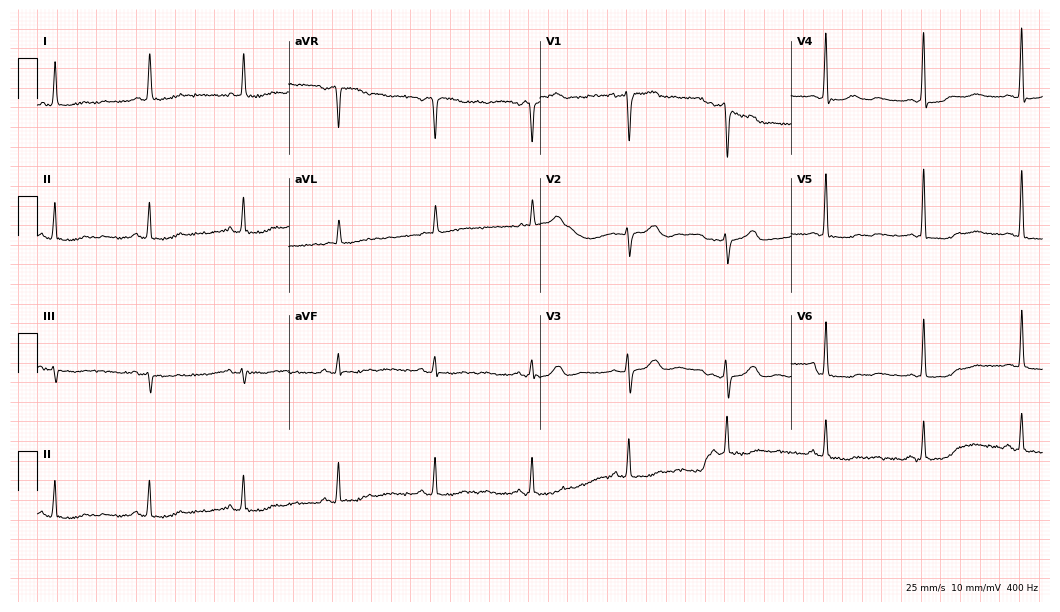
Resting 12-lead electrocardiogram (10.2-second recording at 400 Hz). Patient: a 70-year-old woman. None of these six findings is recorded: first-degree AV block, right bundle branch block (RBBB), left bundle branch block (LBBB), sinus bradycardia, atrial fibrillation (AF), sinus tachycardia.